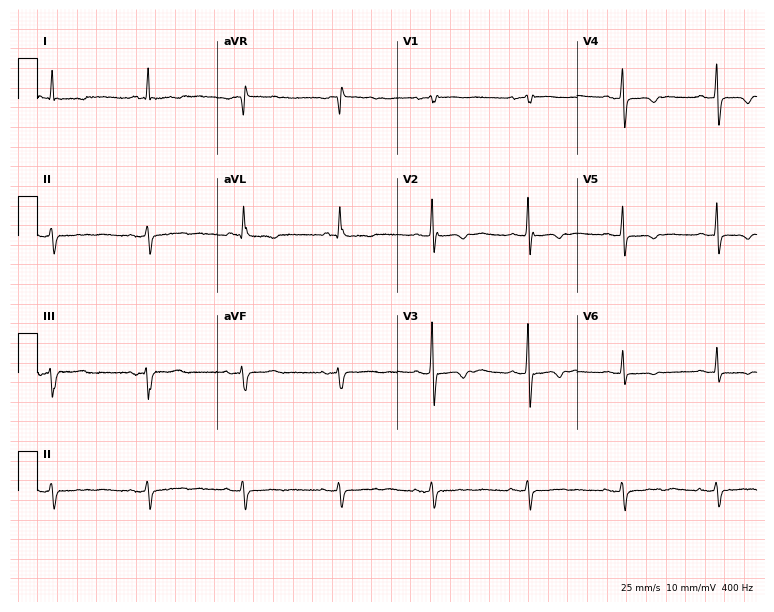
12-lead ECG from a 71-year-old female. Screened for six findings — first-degree AV block, right bundle branch block, left bundle branch block, sinus bradycardia, atrial fibrillation, sinus tachycardia — none is recorded.